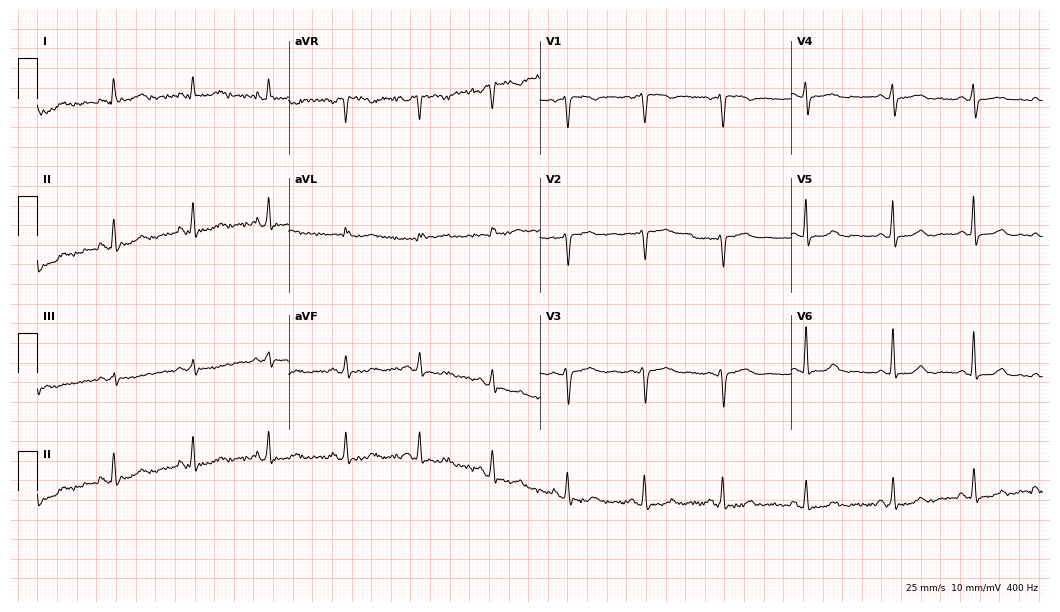
Resting 12-lead electrocardiogram (10.2-second recording at 400 Hz). Patient: a woman, 38 years old. Read as a normal ECG.